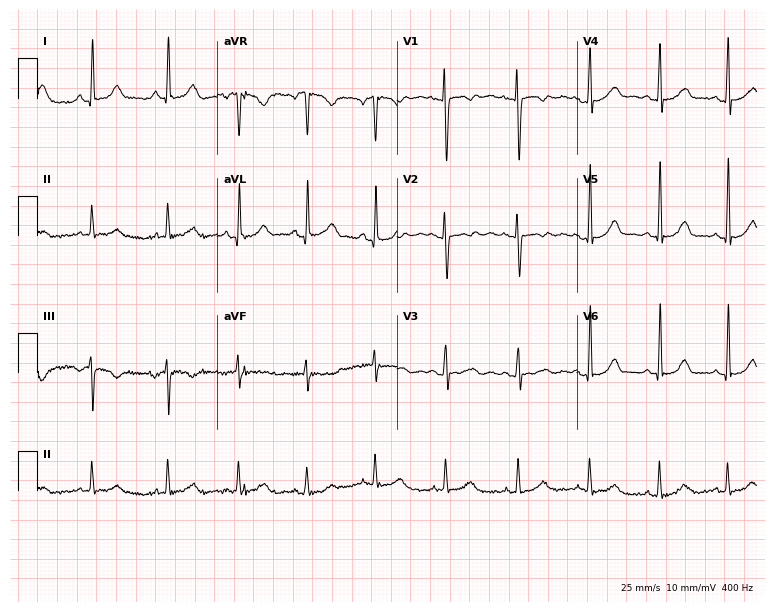
12-lead ECG from a 29-year-old female patient (7.3-second recording at 400 Hz). Recorded interpretation: within normal limits.